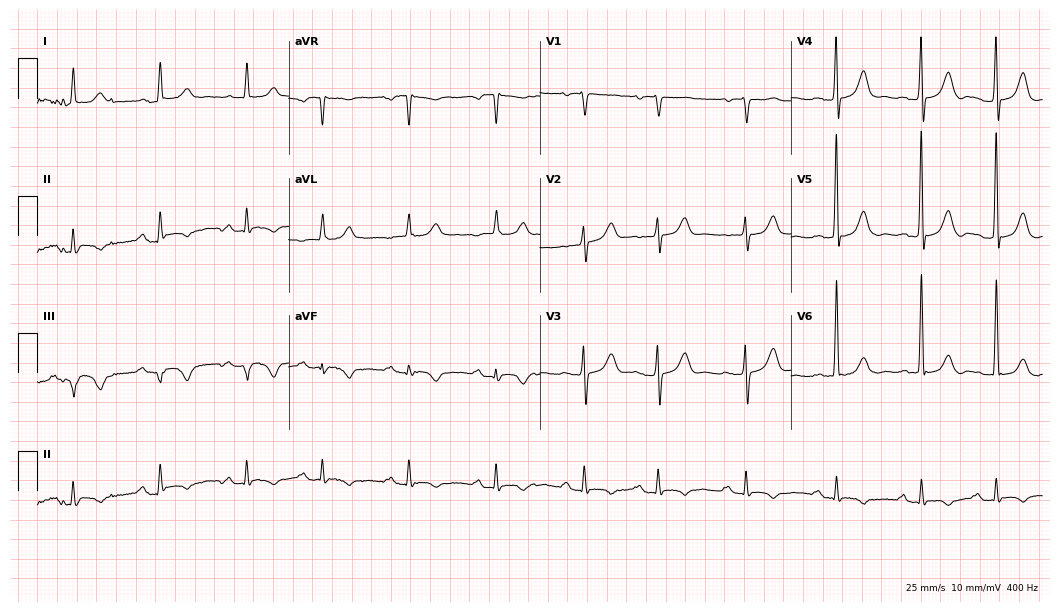
12-lead ECG from a female, 85 years old. Screened for six findings — first-degree AV block, right bundle branch block, left bundle branch block, sinus bradycardia, atrial fibrillation, sinus tachycardia — none is recorded.